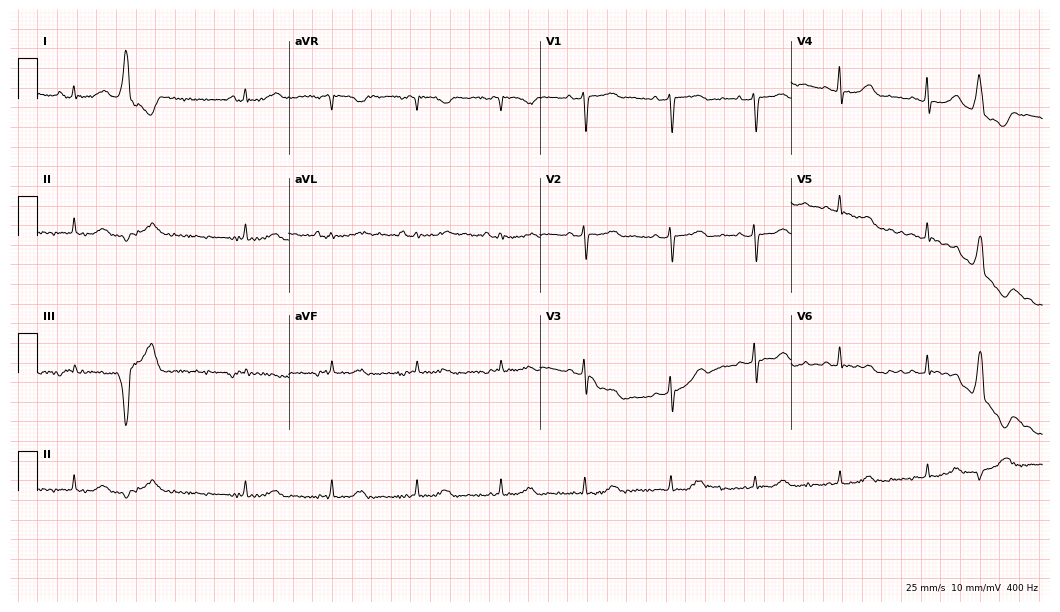
Resting 12-lead electrocardiogram. Patient: an 84-year-old woman. None of these six findings is recorded: first-degree AV block, right bundle branch block, left bundle branch block, sinus bradycardia, atrial fibrillation, sinus tachycardia. Other findings, if any, are not listed.